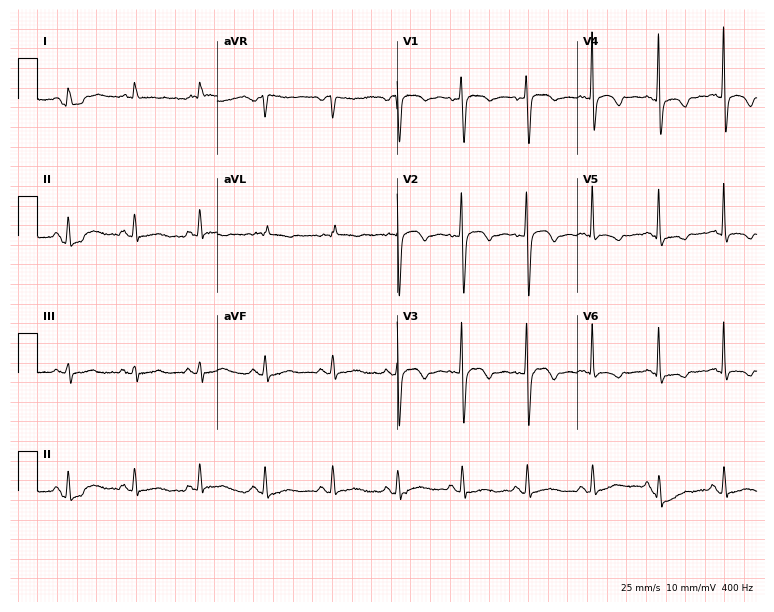
Electrocardiogram (7.3-second recording at 400 Hz), an 84-year-old woman. Of the six screened findings (first-degree AV block, right bundle branch block, left bundle branch block, sinus bradycardia, atrial fibrillation, sinus tachycardia), none is recorded.